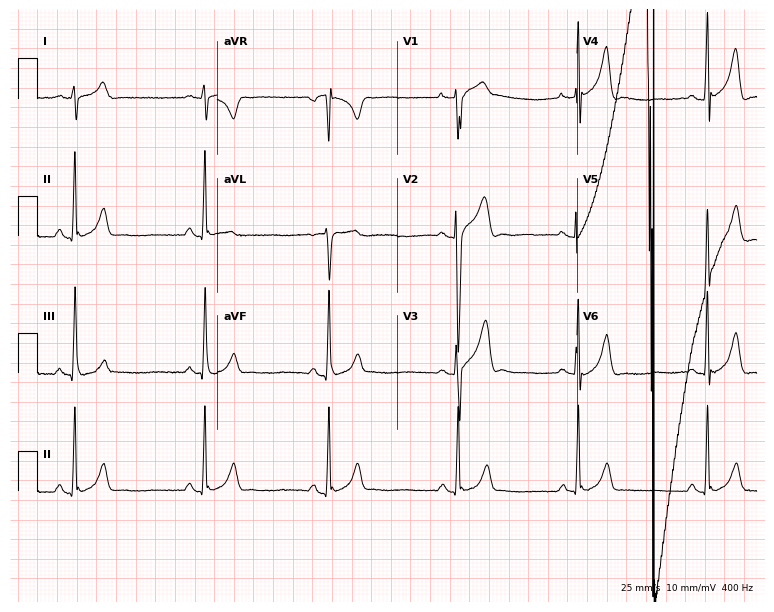
12-lead ECG (7.3-second recording at 400 Hz) from a 21-year-old male patient. Screened for six findings — first-degree AV block, right bundle branch block (RBBB), left bundle branch block (LBBB), sinus bradycardia, atrial fibrillation (AF), sinus tachycardia — none is recorded.